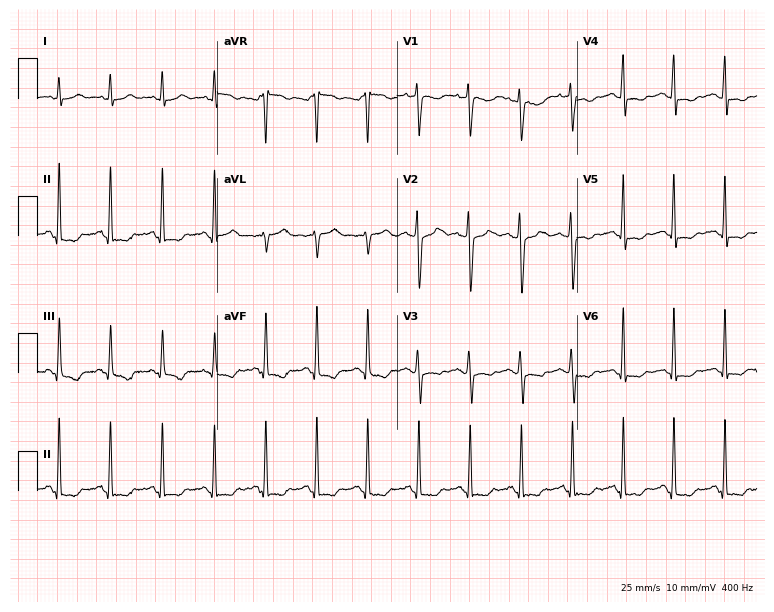
Electrocardiogram (7.3-second recording at 400 Hz), a female patient, 35 years old. Interpretation includes sinus tachycardia (a sinus rate of 100 beats per minute or more).